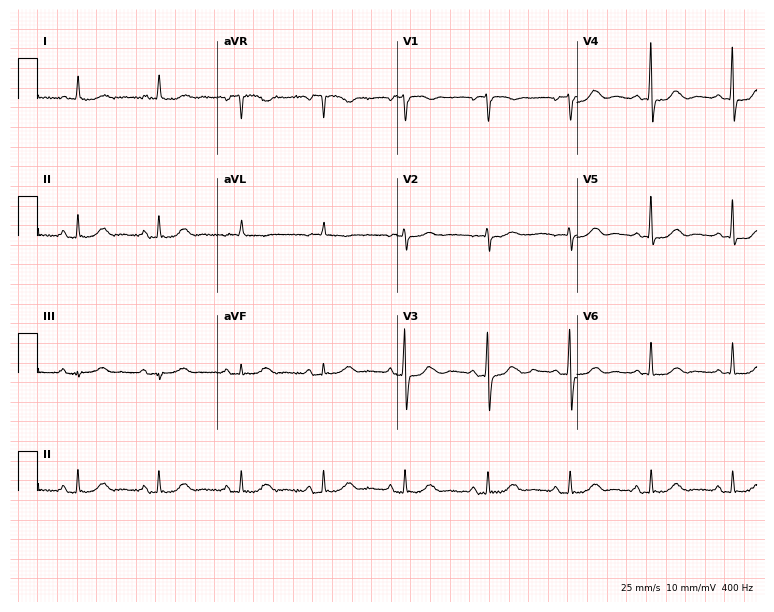
ECG (7.3-second recording at 400 Hz) — a female patient, 66 years old. Screened for six findings — first-degree AV block, right bundle branch block (RBBB), left bundle branch block (LBBB), sinus bradycardia, atrial fibrillation (AF), sinus tachycardia — none is recorded.